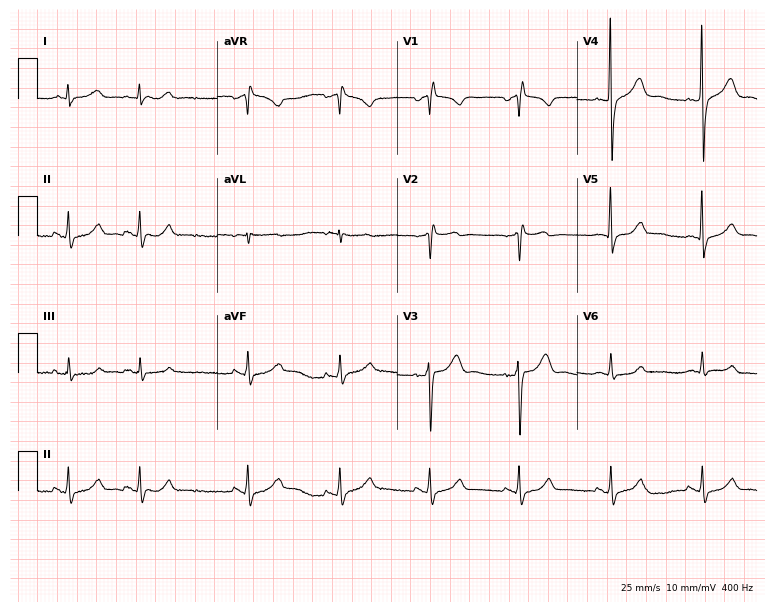
ECG (7.3-second recording at 400 Hz) — a 61-year-old male patient. Screened for six findings — first-degree AV block, right bundle branch block, left bundle branch block, sinus bradycardia, atrial fibrillation, sinus tachycardia — none is recorded.